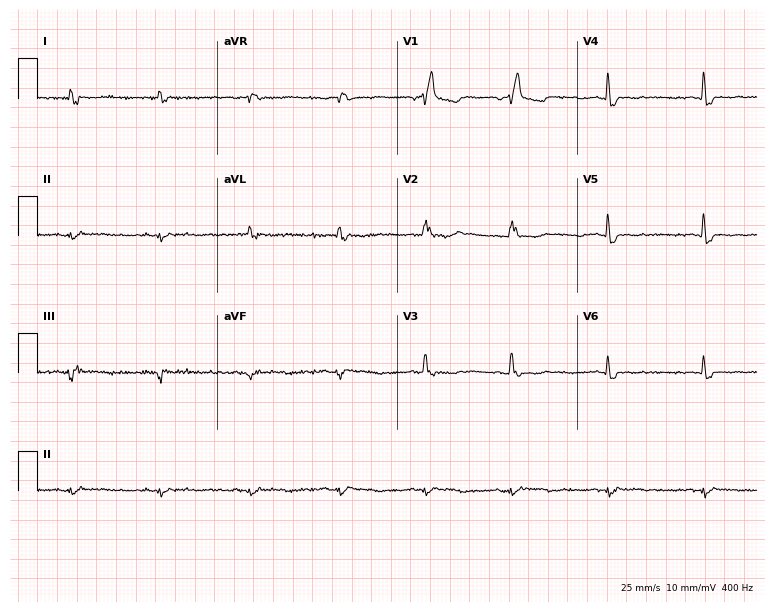
12-lead ECG (7.3-second recording at 400 Hz) from a 38-year-old female. Screened for six findings — first-degree AV block, right bundle branch block (RBBB), left bundle branch block (LBBB), sinus bradycardia, atrial fibrillation (AF), sinus tachycardia — none is recorded.